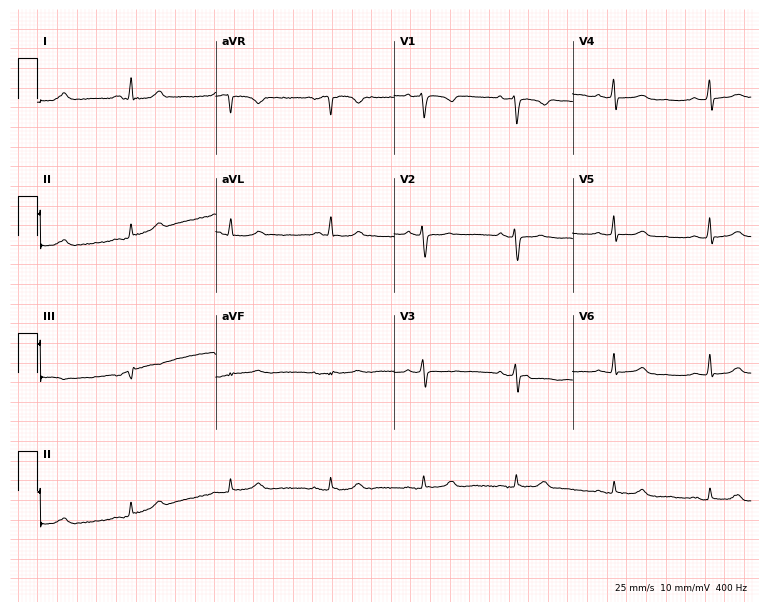
Standard 12-lead ECG recorded from a 52-year-old woman (7.3-second recording at 400 Hz). Read as a normal ECG.